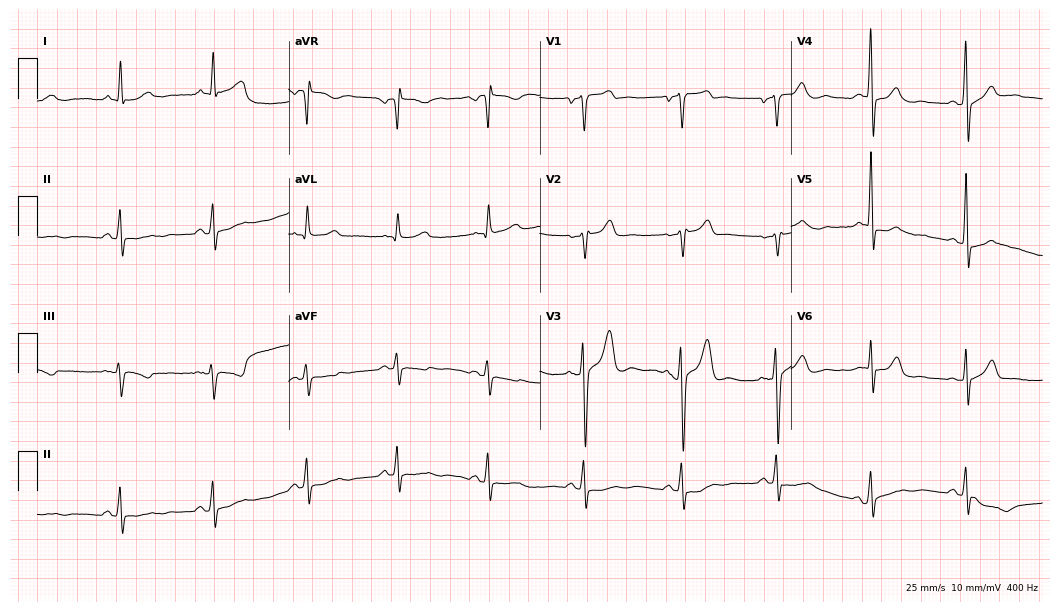
12-lead ECG from a male patient, 54 years old (10.2-second recording at 400 Hz). No first-degree AV block, right bundle branch block, left bundle branch block, sinus bradycardia, atrial fibrillation or sinus tachycardia recorded for this tracing.